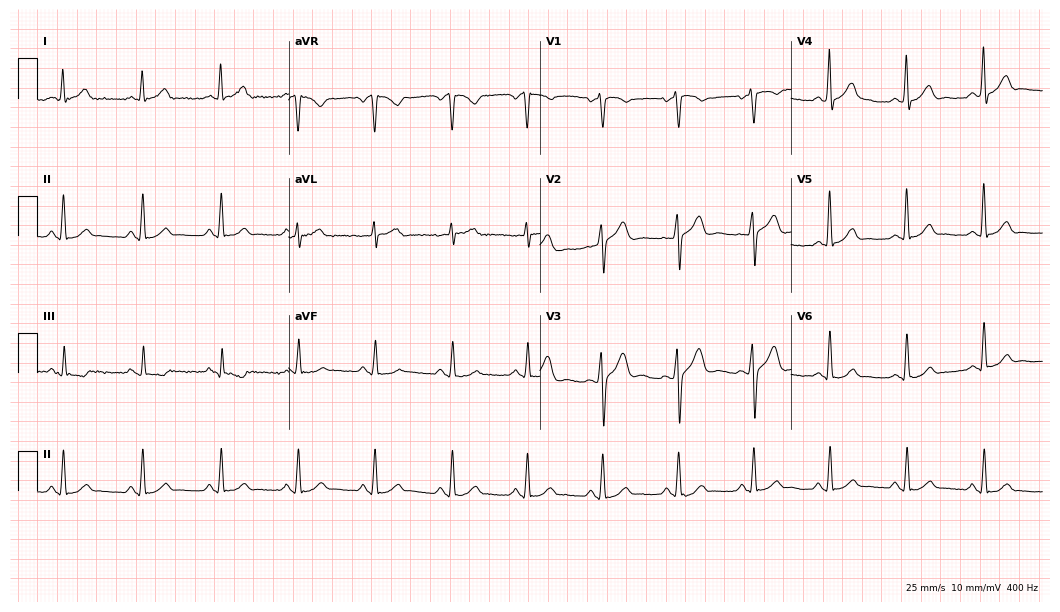
ECG (10.2-second recording at 400 Hz) — a 55-year-old male. Labelled as a normal ECG.